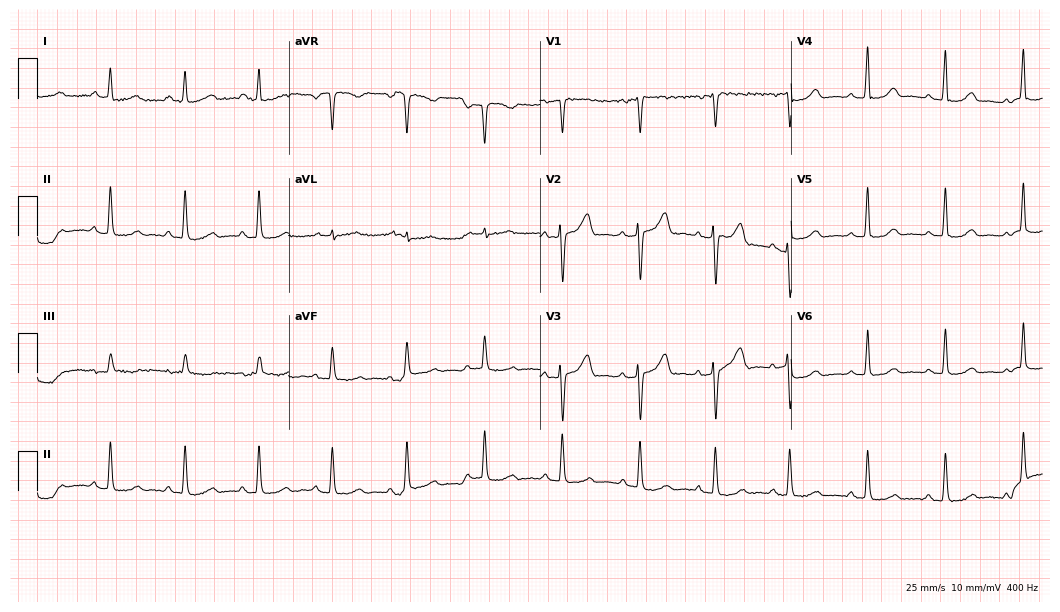
12-lead ECG from a female, 40 years old (10.2-second recording at 400 Hz). No first-degree AV block, right bundle branch block (RBBB), left bundle branch block (LBBB), sinus bradycardia, atrial fibrillation (AF) or sinus tachycardia recorded for this tracing. Findings outside these six are not listed.